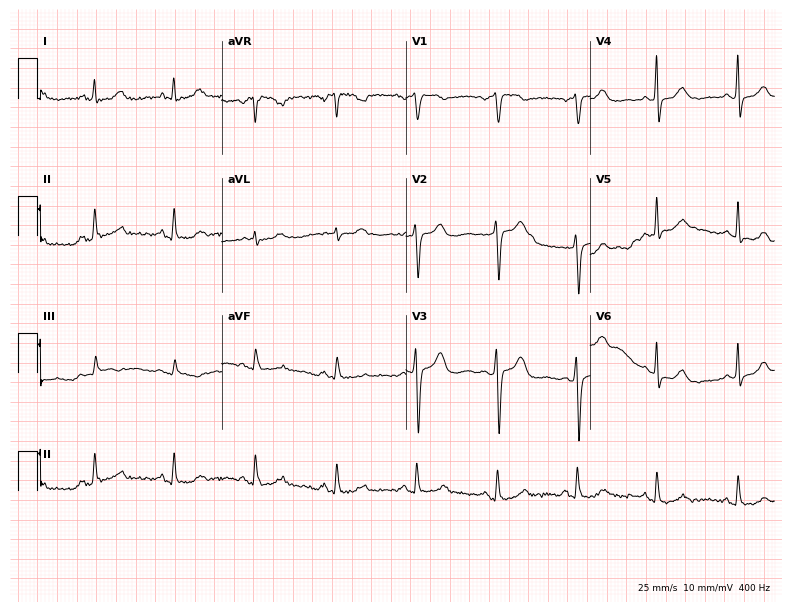
Resting 12-lead electrocardiogram (7.5-second recording at 400 Hz). Patient: a 67-year-old woman. None of these six findings is recorded: first-degree AV block, right bundle branch block, left bundle branch block, sinus bradycardia, atrial fibrillation, sinus tachycardia. Only these six findings were labelled.